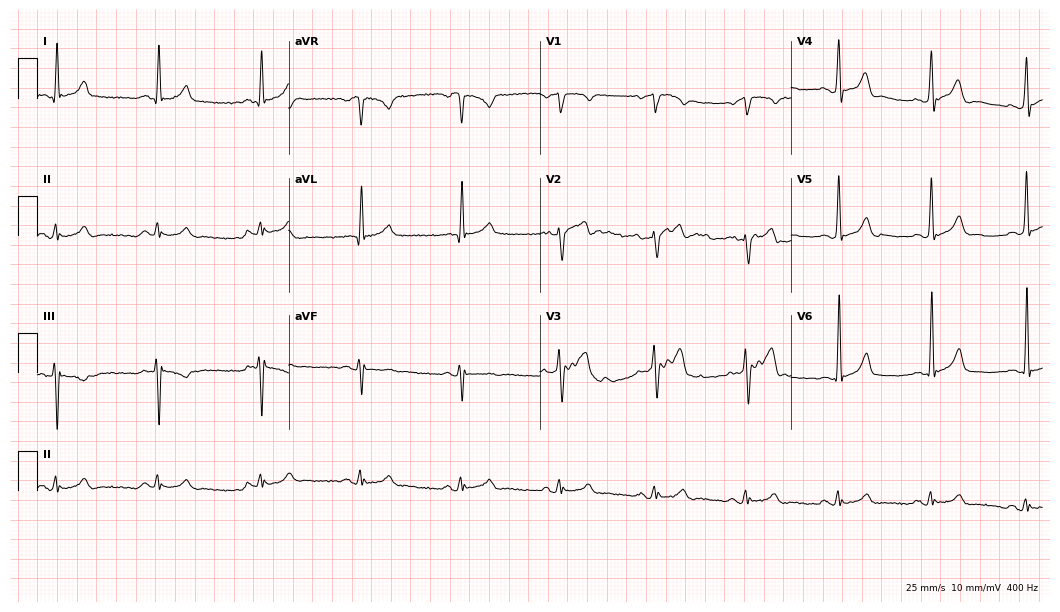
Standard 12-lead ECG recorded from a 40-year-old male patient. Read as a normal ECG.